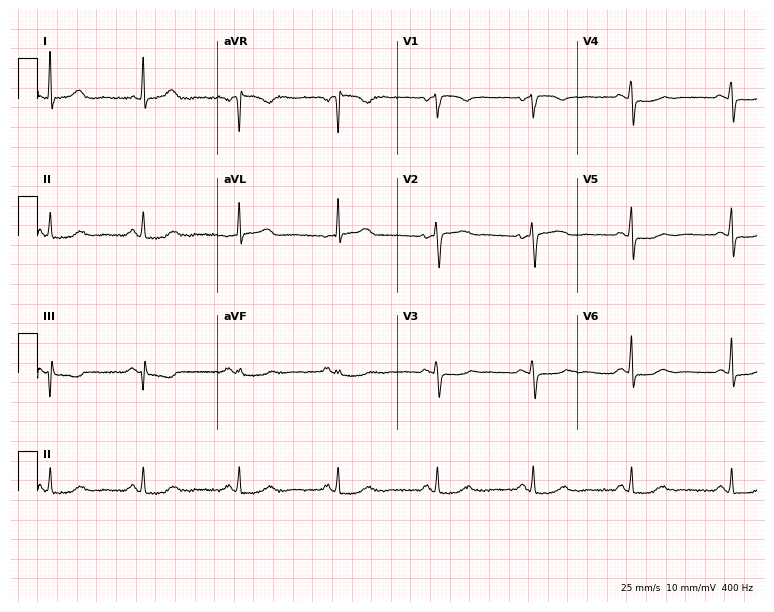
12-lead ECG (7.3-second recording at 400 Hz) from a 55-year-old woman. Screened for six findings — first-degree AV block, right bundle branch block, left bundle branch block, sinus bradycardia, atrial fibrillation, sinus tachycardia — none is recorded. Other findings, if any, are not listed.